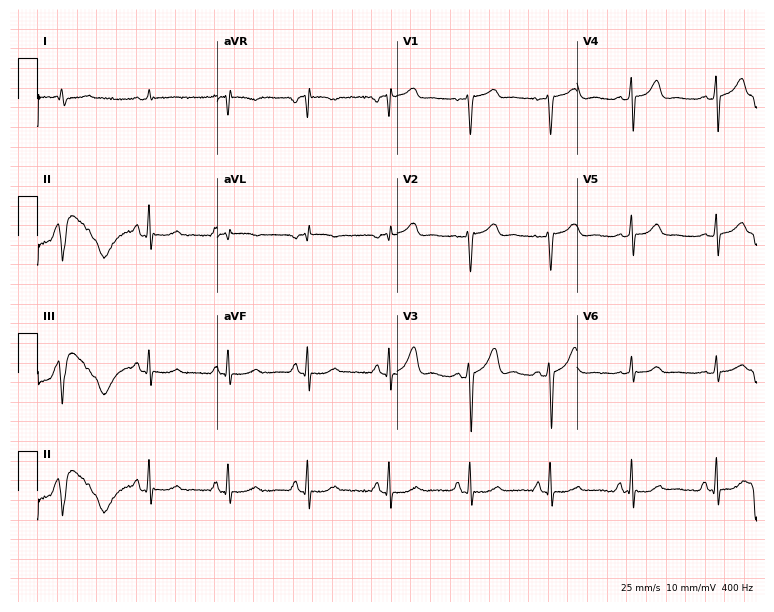
Standard 12-lead ECG recorded from a man, 78 years old. None of these six findings is recorded: first-degree AV block, right bundle branch block, left bundle branch block, sinus bradycardia, atrial fibrillation, sinus tachycardia.